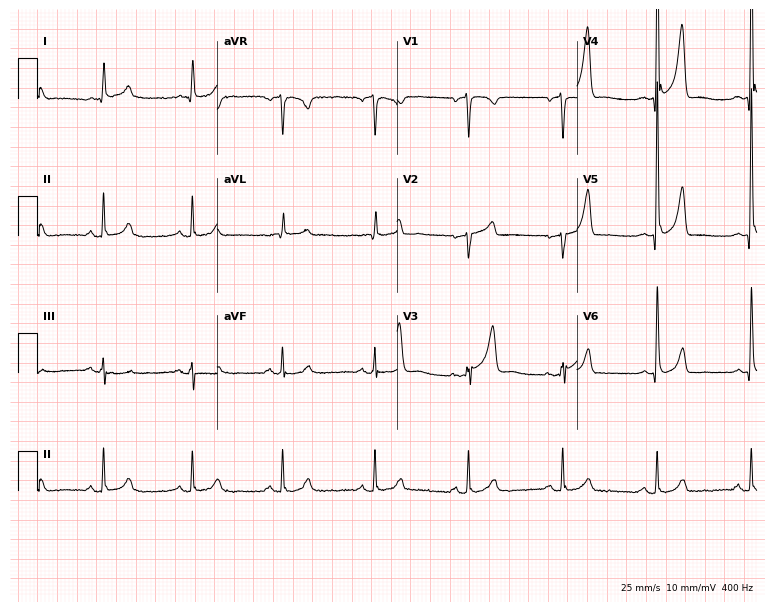
12-lead ECG (7.3-second recording at 400 Hz) from a man, 74 years old. Labelled as a normal ECG.